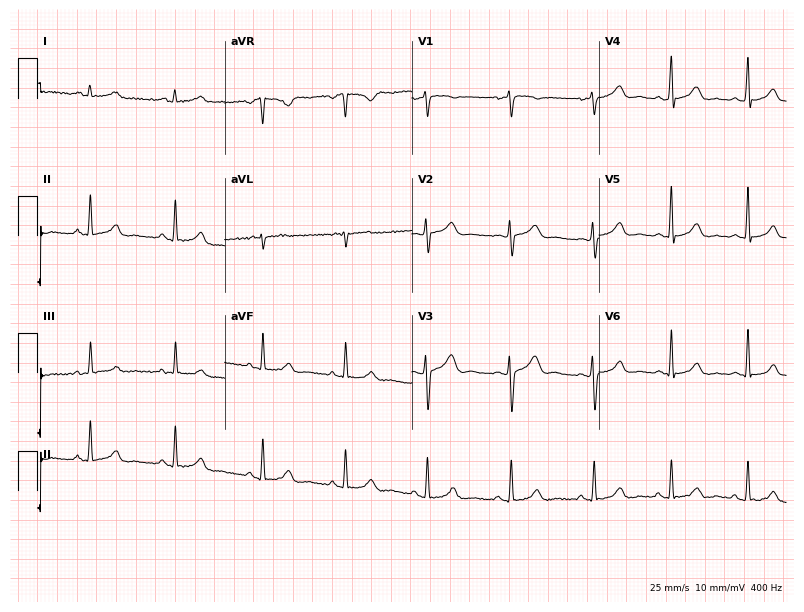
12-lead ECG from a female, 25 years old. Labelled as a normal ECG.